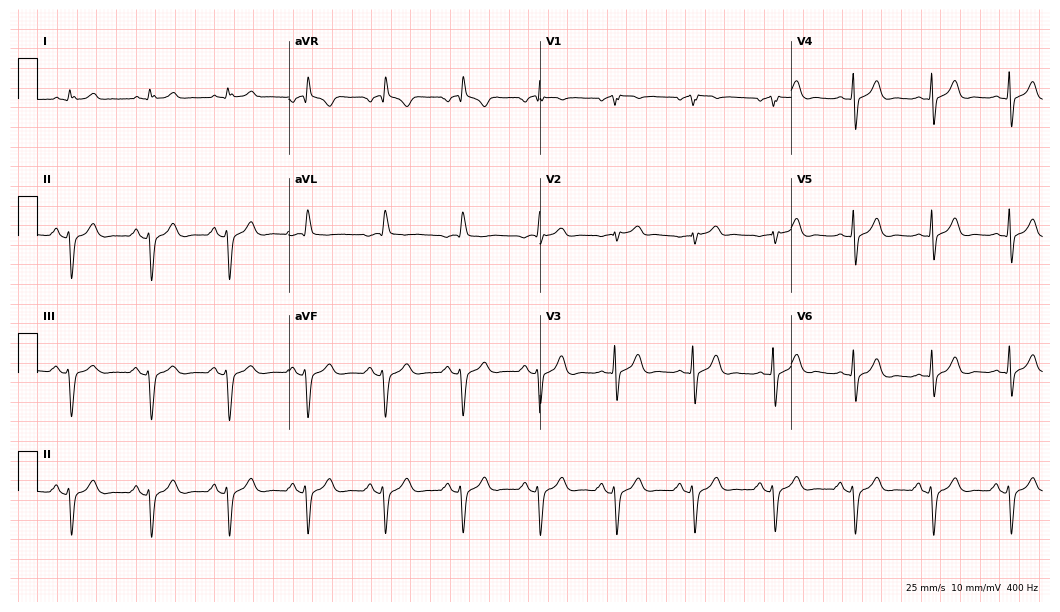
ECG (10.2-second recording at 400 Hz) — a 67-year-old man. Screened for six findings — first-degree AV block, right bundle branch block (RBBB), left bundle branch block (LBBB), sinus bradycardia, atrial fibrillation (AF), sinus tachycardia — none is recorded. Other findings, if any, are not listed.